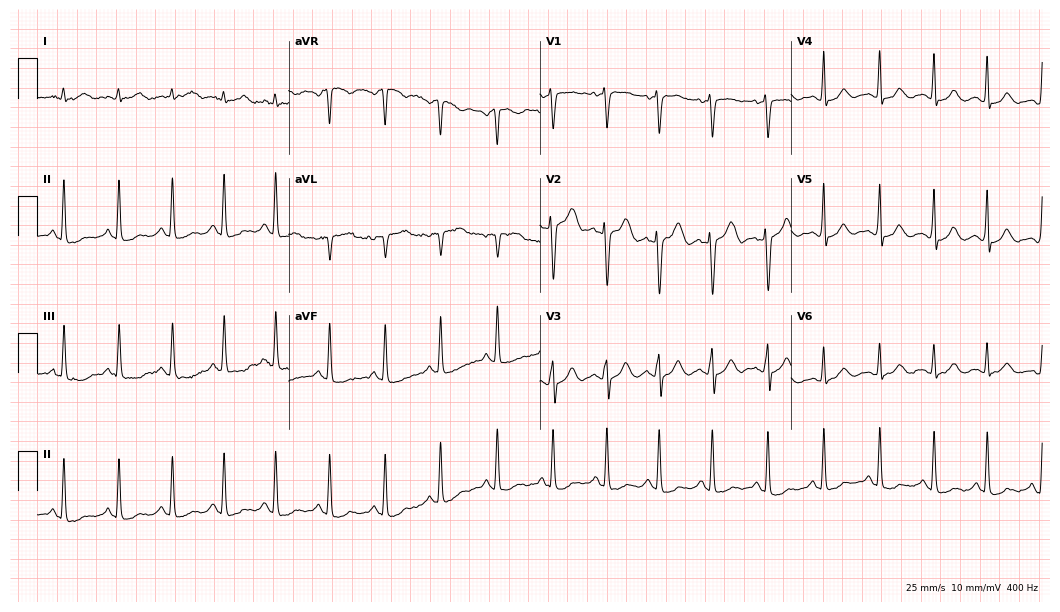
Standard 12-lead ECG recorded from a female patient, 26 years old (10.2-second recording at 400 Hz). The tracing shows sinus tachycardia (a sinus rate of 100 beats per minute or more).